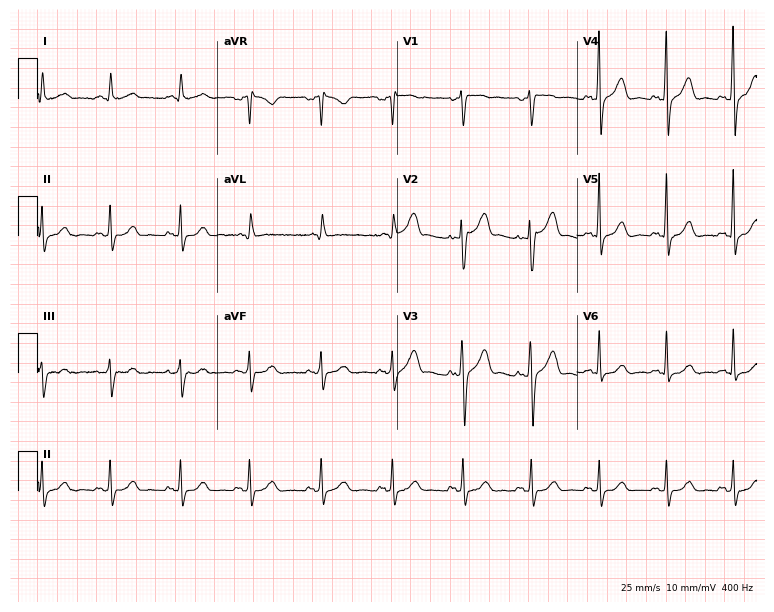
Resting 12-lead electrocardiogram (7.3-second recording at 400 Hz). Patient: a male, 59 years old. Read as a normal ECG.